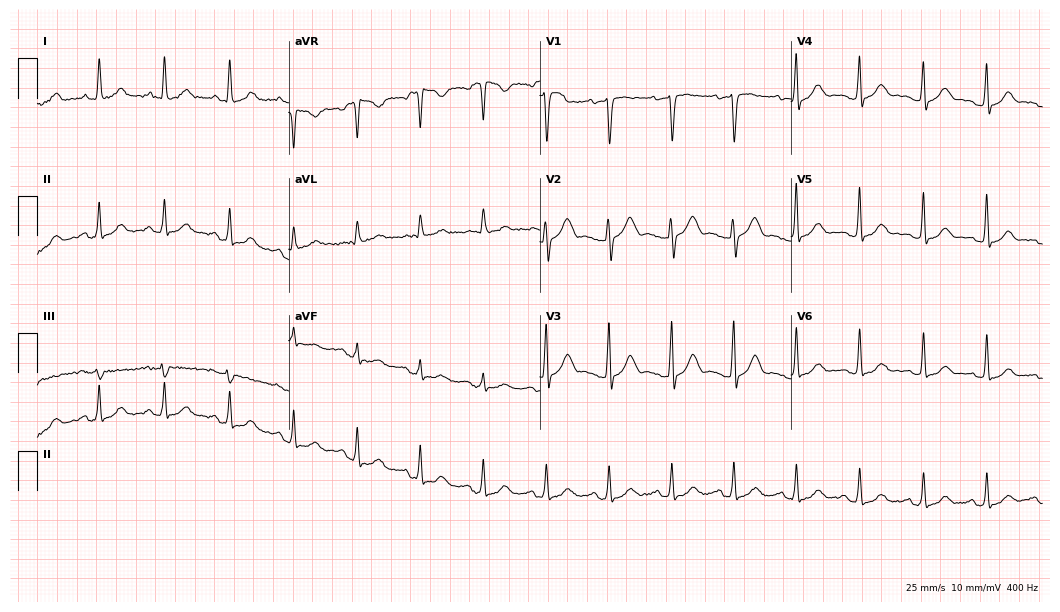
12-lead ECG from a female, 38 years old. Recorded interpretation: within normal limits.